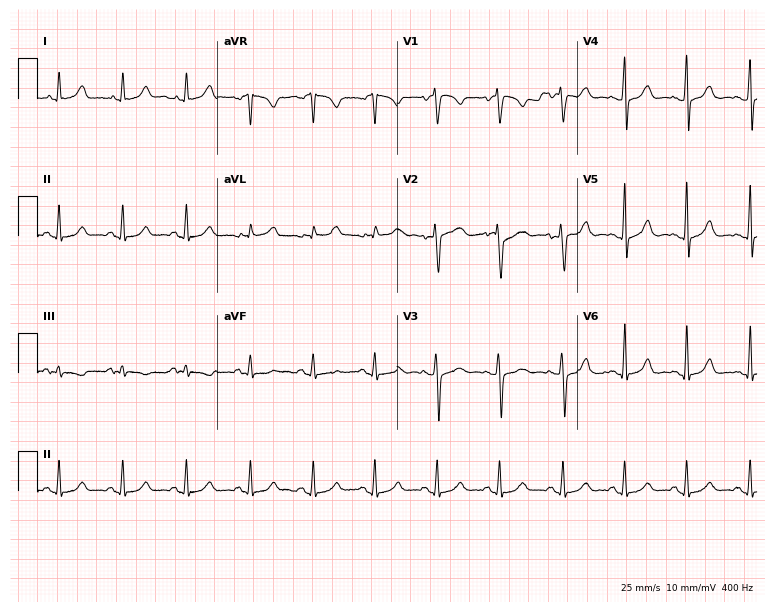
12-lead ECG from a woman, 29 years old. Recorded interpretation: within normal limits.